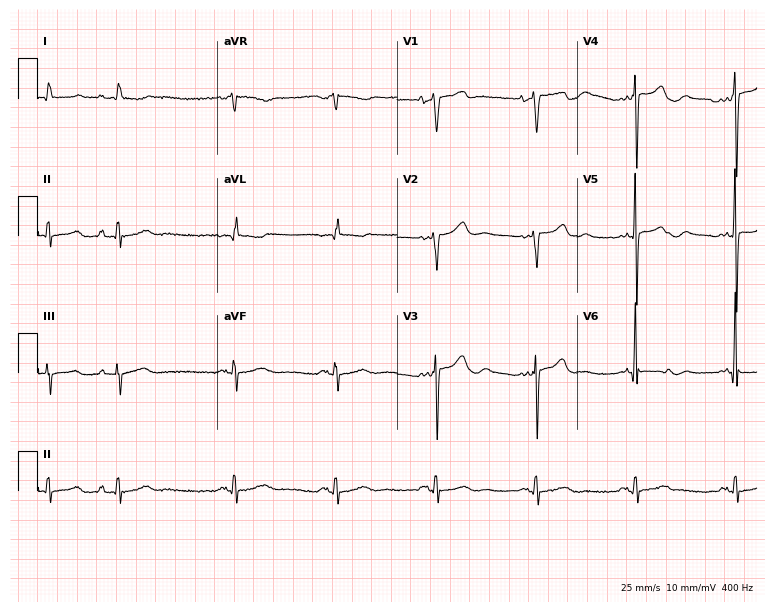
Standard 12-lead ECG recorded from a male patient, 51 years old (7.3-second recording at 400 Hz). None of these six findings is recorded: first-degree AV block, right bundle branch block (RBBB), left bundle branch block (LBBB), sinus bradycardia, atrial fibrillation (AF), sinus tachycardia.